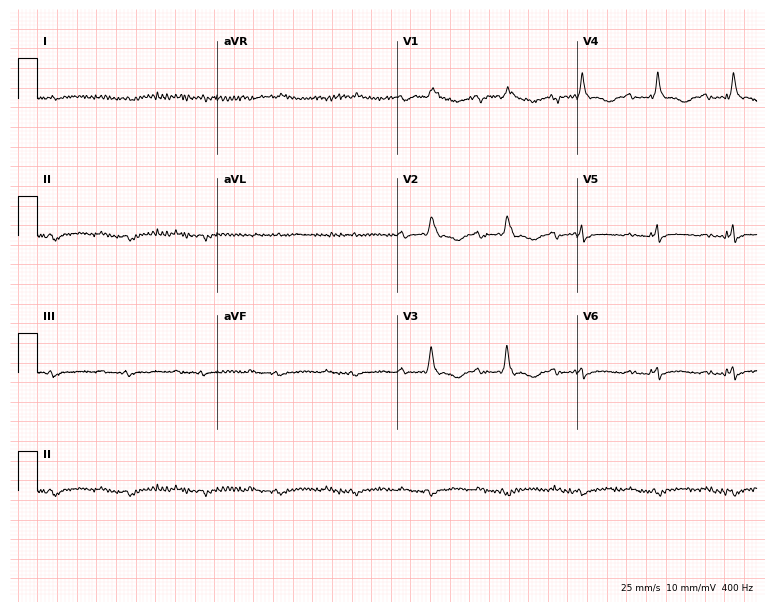
12-lead ECG from a male patient, 50 years old (7.3-second recording at 400 Hz). Shows right bundle branch block (RBBB).